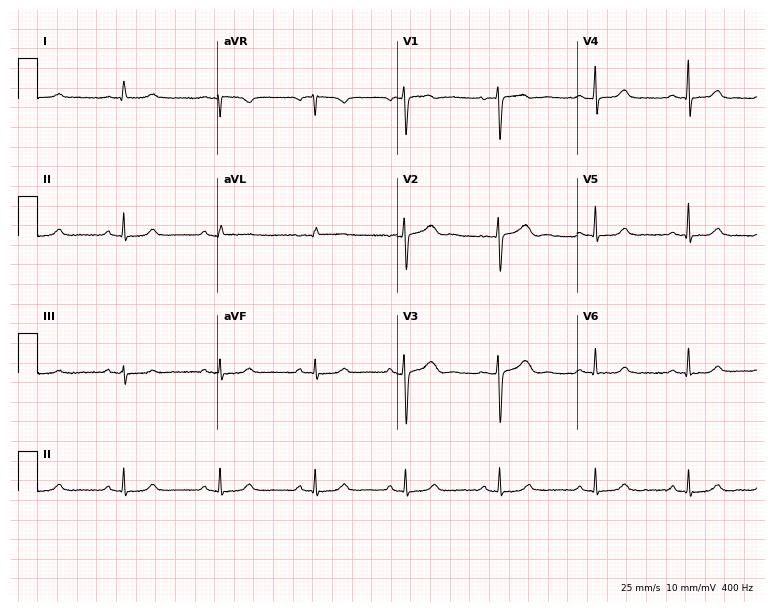
Electrocardiogram (7.3-second recording at 400 Hz), a 46-year-old woman. Of the six screened findings (first-degree AV block, right bundle branch block (RBBB), left bundle branch block (LBBB), sinus bradycardia, atrial fibrillation (AF), sinus tachycardia), none is recorded.